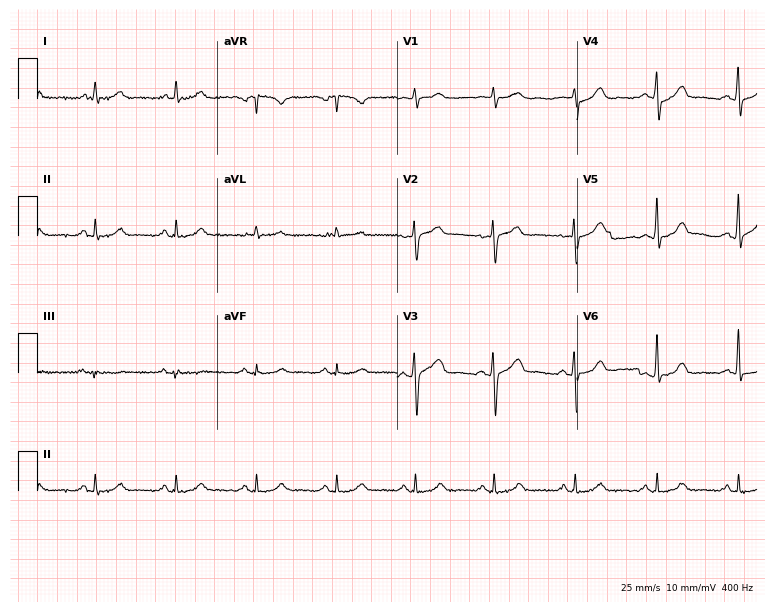
Standard 12-lead ECG recorded from a man, 74 years old. Read as a normal ECG.